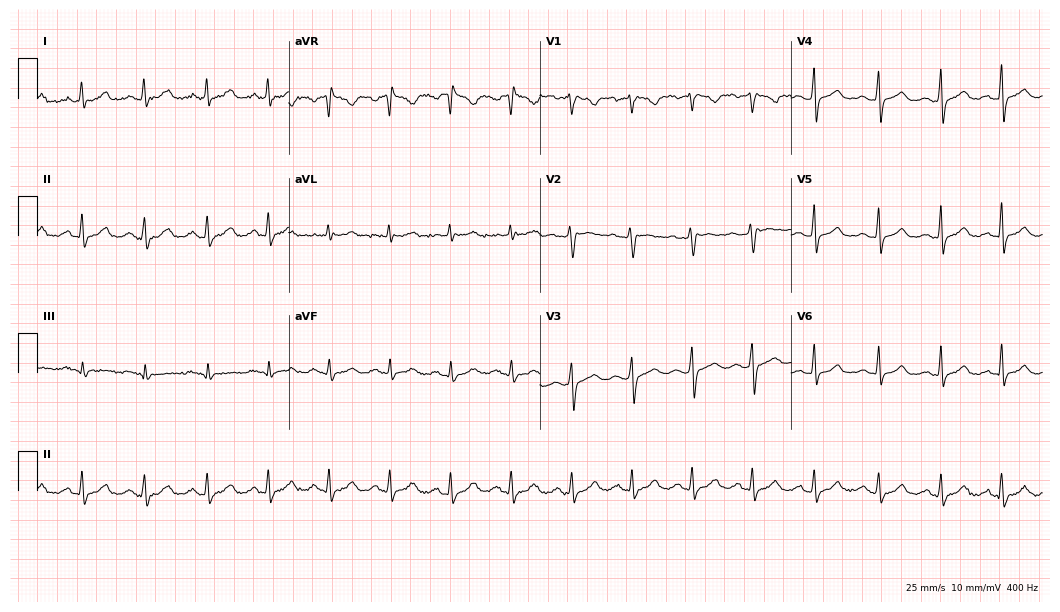
ECG (10.2-second recording at 400 Hz) — an 18-year-old female. Labelled as a normal ECG.